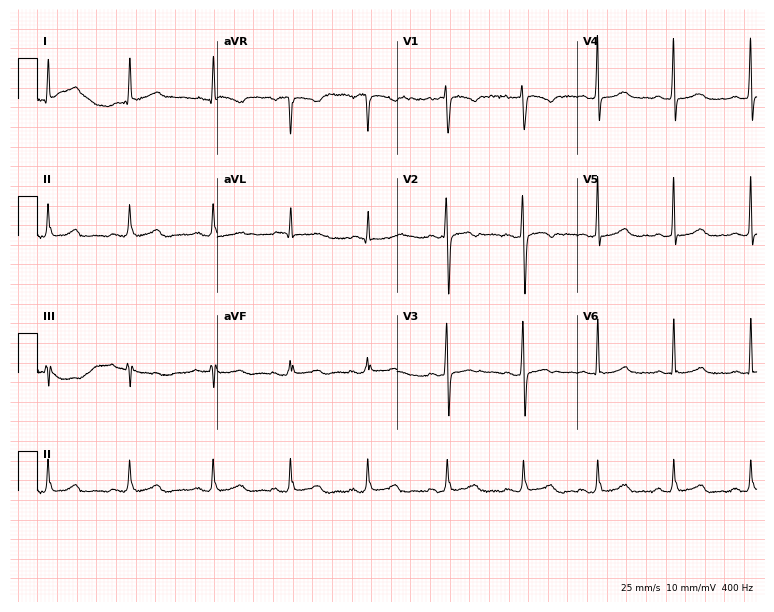
Standard 12-lead ECG recorded from a 30-year-old female patient. Read as a normal ECG.